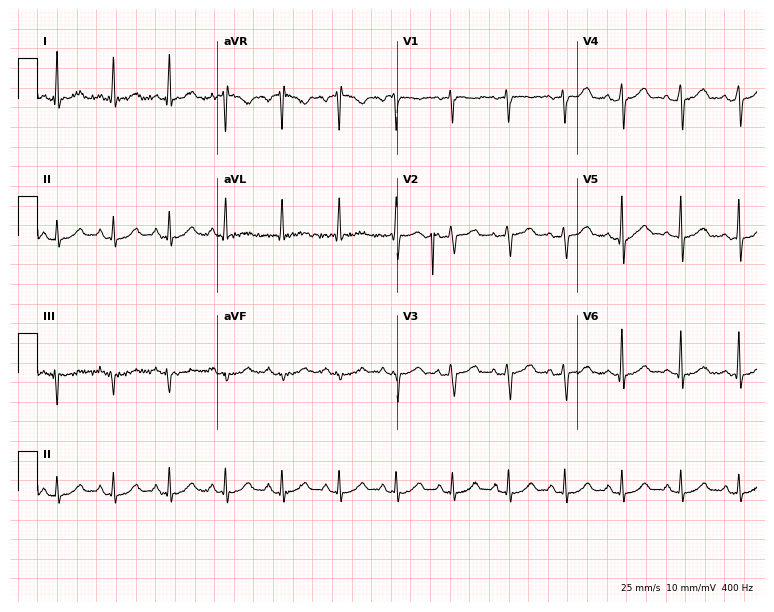
Electrocardiogram, a 46-year-old female. Interpretation includes sinus tachycardia (a sinus rate of 100 beats per minute or more).